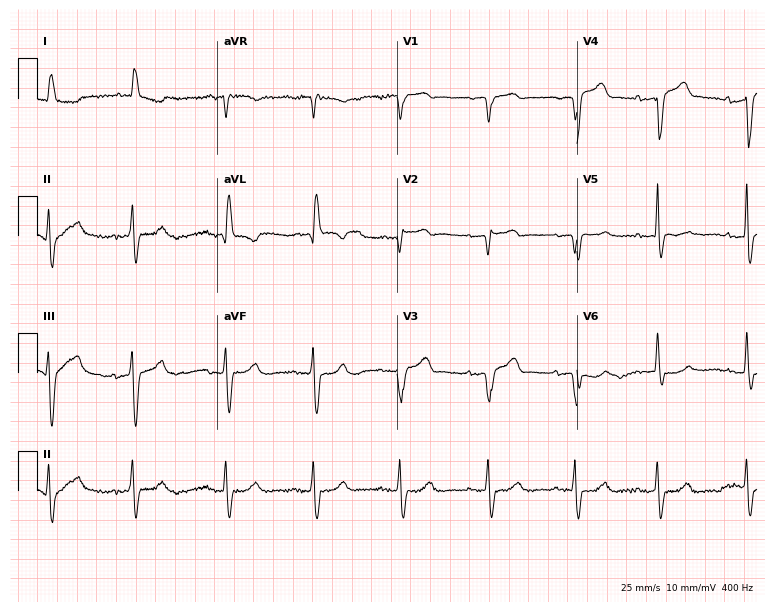
Electrocardiogram, an 84-year-old female. Of the six screened findings (first-degree AV block, right bundle branch block (RBBB), left bundle branch block (LBBB), sinus bradycardia, atrial fibrillation (AF), sinus tachycardia), none is recorded.